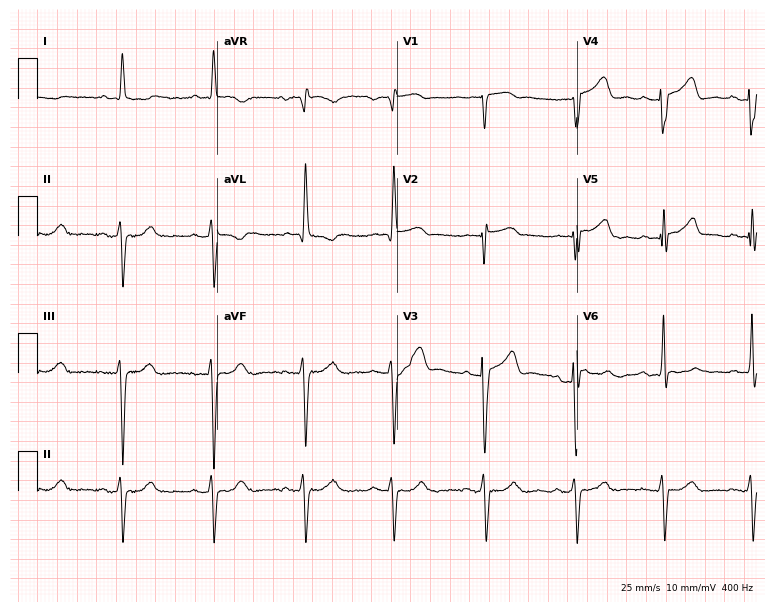
Electrocardiogram (7.3-second recording at 400 Hz), a 76-year-old man. Of the six screened findings (first-degree AV block, right bundle branch block (RBBB), left bundle branch block (LBBB), sinus bradycardia, atrial fibrillation (AF), sinus tachycardia), none is recorded.